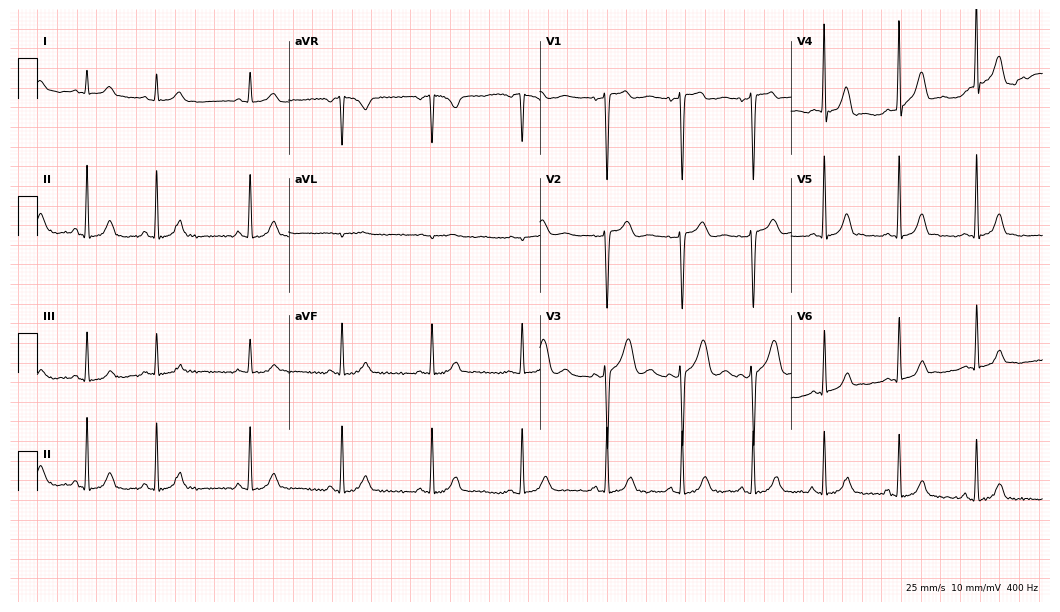
Electrocardiogram, a 37-year-old man. Overall reading on record: normal ECG.